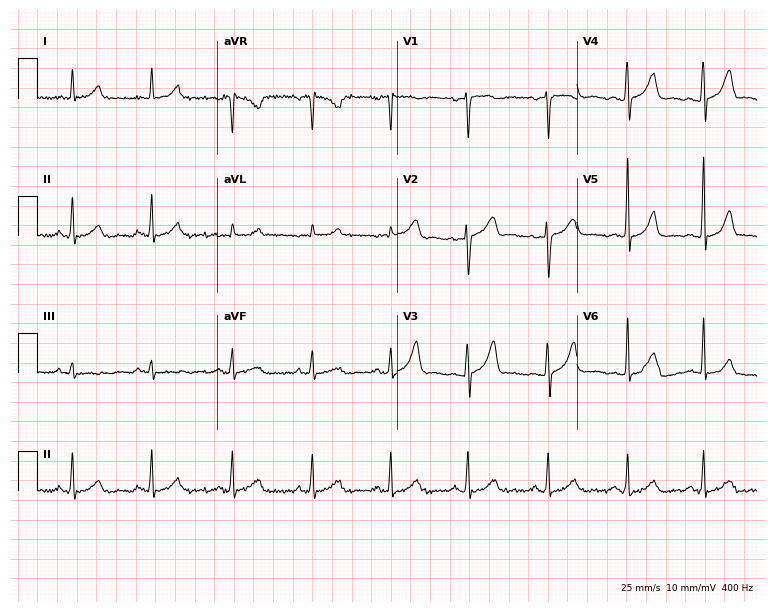
Electrocardiogram (7.3-second recording at 400 Hz), a female, 32 years old. Overall reading on record: normal ECG.